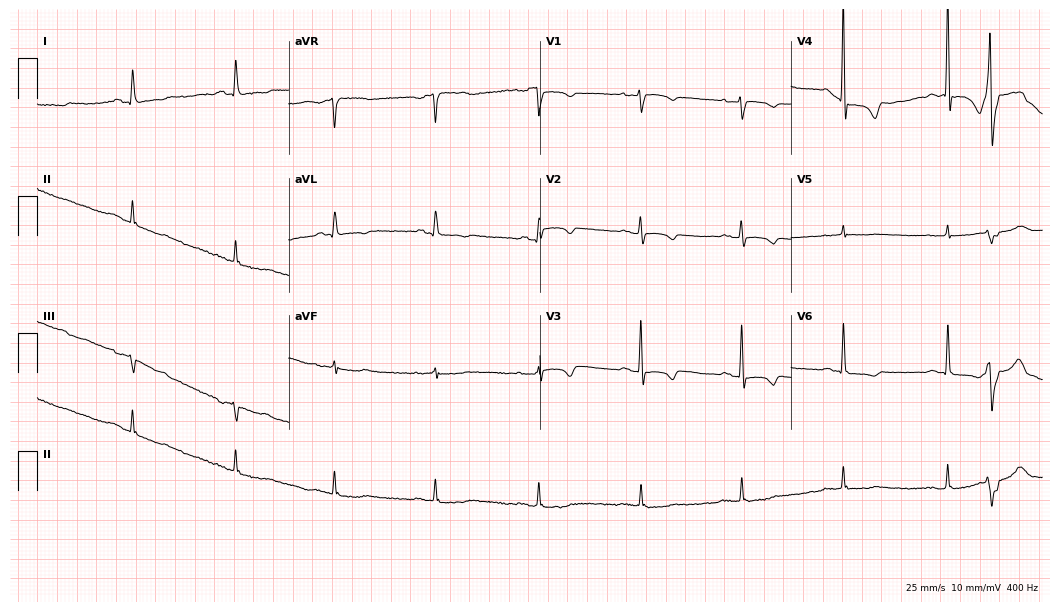
12-lead ECG from a 73-year-old female patient (10.2-second recording at 400 Hz). No first-degree AV block, right bundle branch block (RBBB), left bundle branch block (LBBB), sinus bradycardia, atrial fibrillation (AF) or sinus tachycardia recorded for this tracing. Only these six findings were labelled.